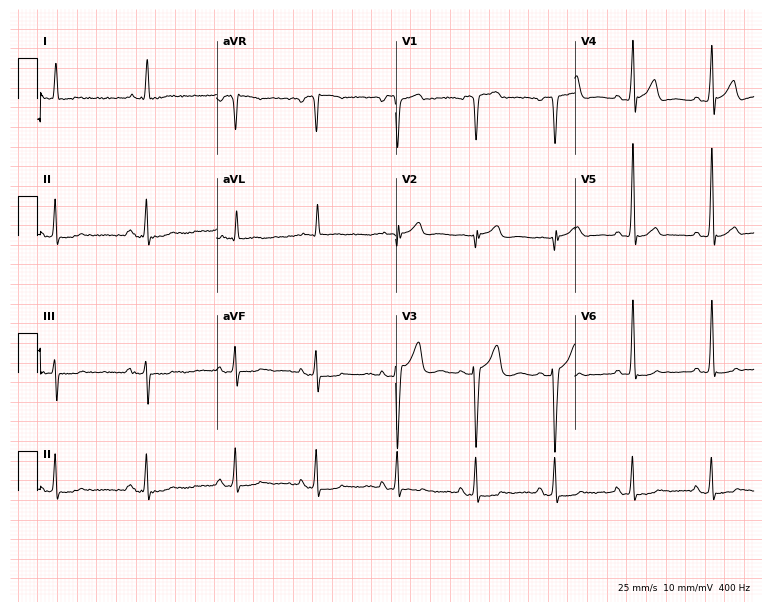
Electrocardiogram, an 81-year-old man. Of the six screened findings (first-degree AV block, right bundle branch block, left bundle branch block, sinus bradycardia, atrial fibrillation, sinus tachycardia), none is recorded.